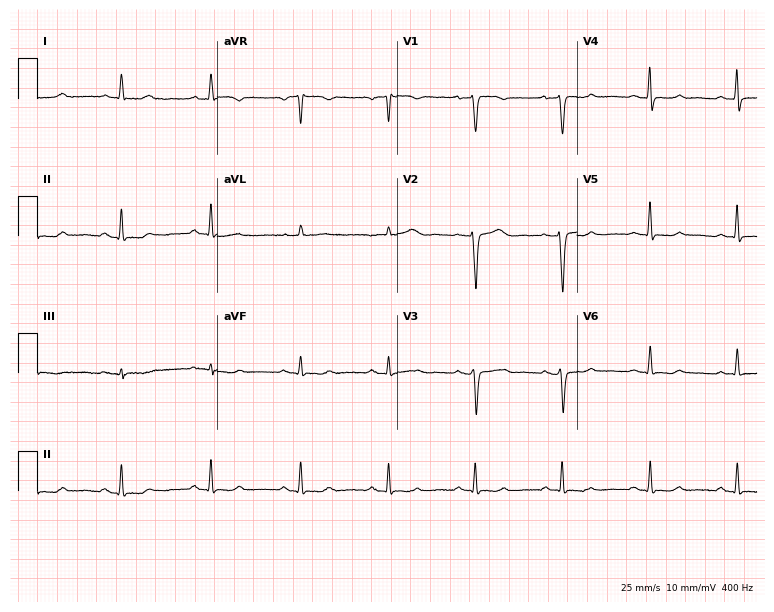
12-lead ECG from a woman, 56 years old. Screened for six findings — first-degree AV block, right bundle branch block, left bundle branch block, sinus bradycardia, atrial fibrillation, sinus tachycardia — none is recorded. Other findings, if any, are not listed.